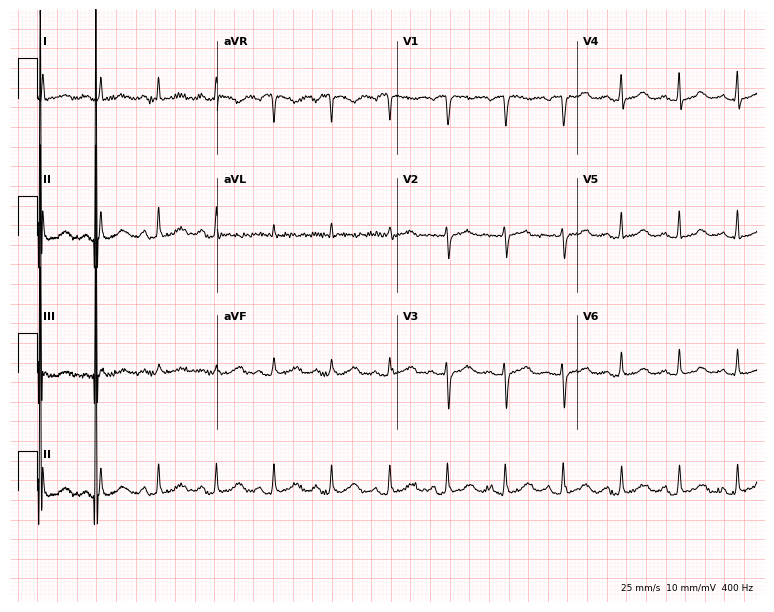
ECG (7.3-second recording at 400 Hz) — a woman, 50 years old. Labelled as a normal ECG.